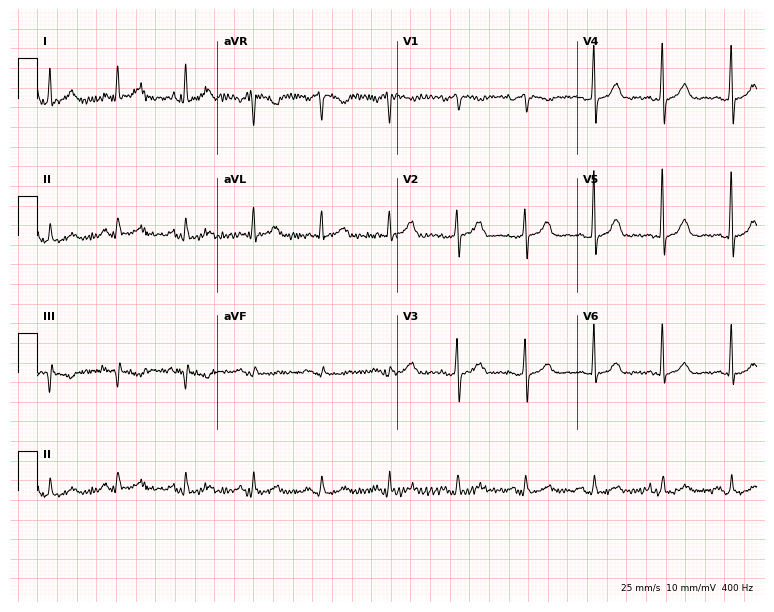
12-lead ECG (7.3-second recording at 400 Hz) from a 44-year-old female. Labelled as a normal ECG.